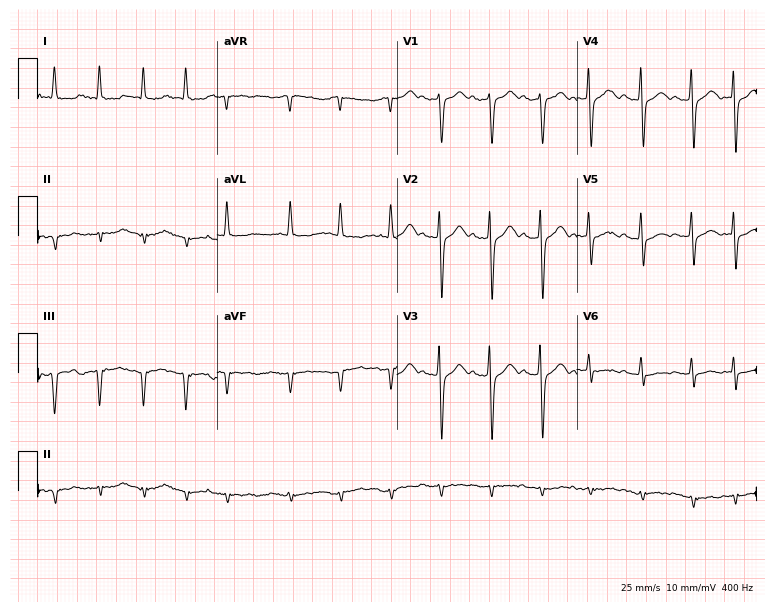
Electrocardiogram, a male, 70 years old. Interpretation includes sinus tachycardia (a sinus rate of 100 beats per minute or more).